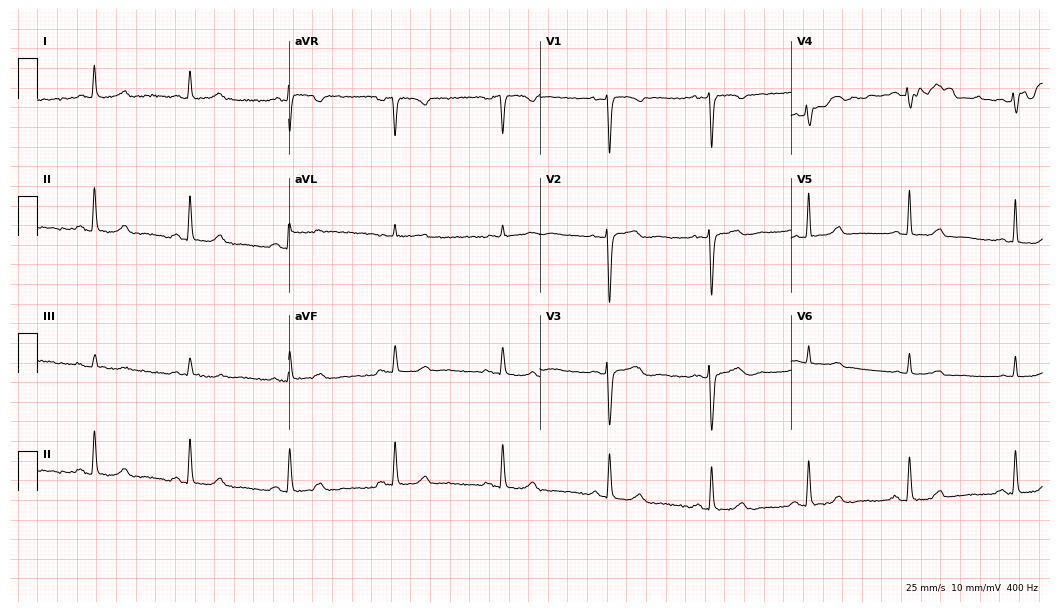
ECG — a female patient, 46 years old. Screened for six findings — first-degree AV block, right bundle branch block, left bundle branch block, sinus bradycardia, atrial fibrillation, sinus tachycardia — none is recorded.